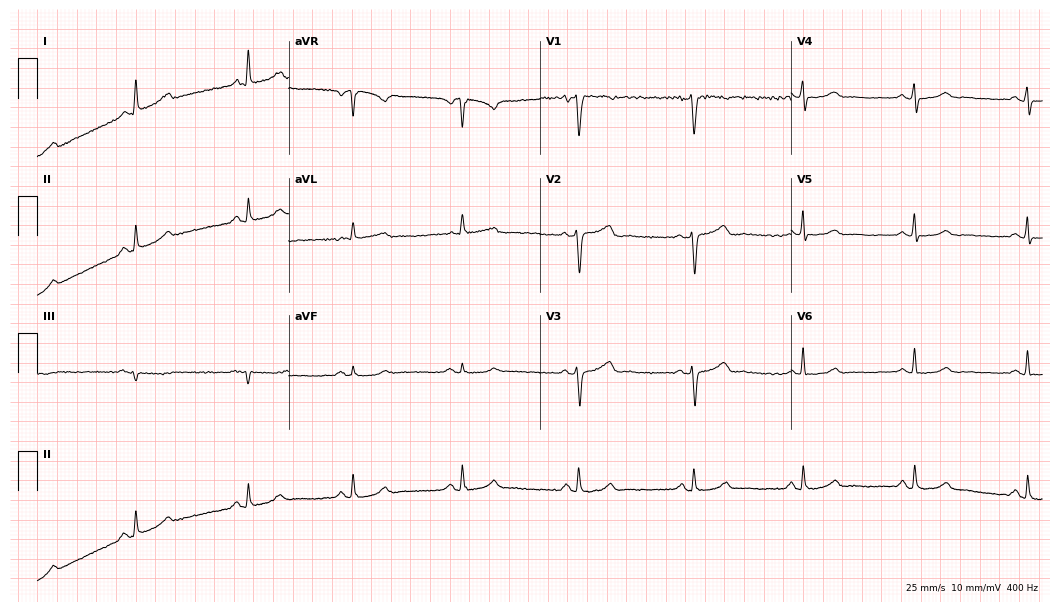
12-lead ECG from a female patient, 46 years old. Screened for six findings — first-degree AV block, right bundle branch block, left bundle branch block, sinus bradycardia, atrial fibrillation, sinus tachycardia — none is recorded. Only these six findings were labelled.